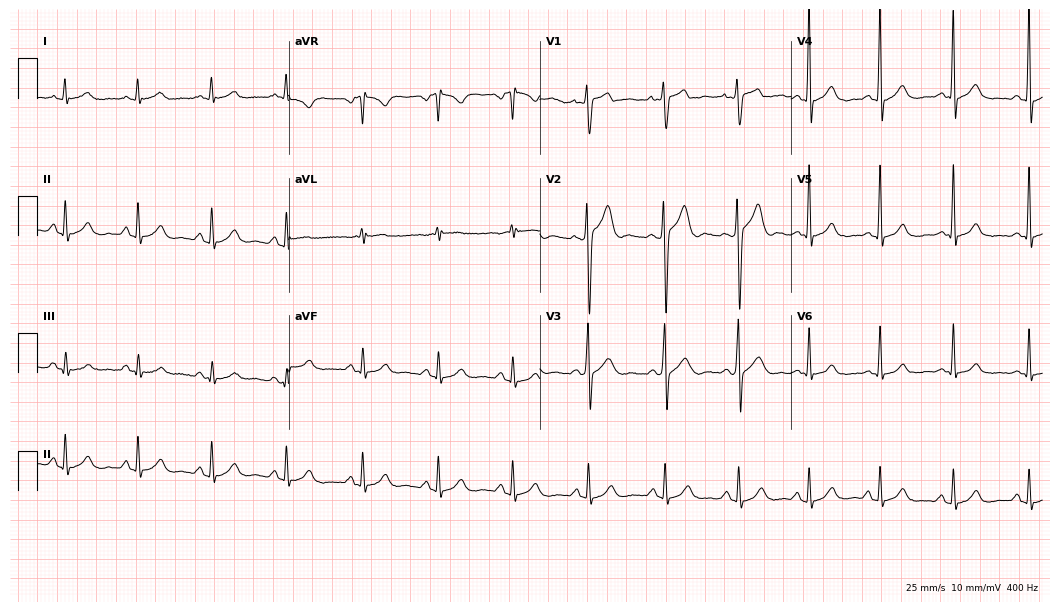
12-lead ECG from a 23-year-old man (10.2-second recording at 400 Hz). Recorded interpretation: within normal limits.